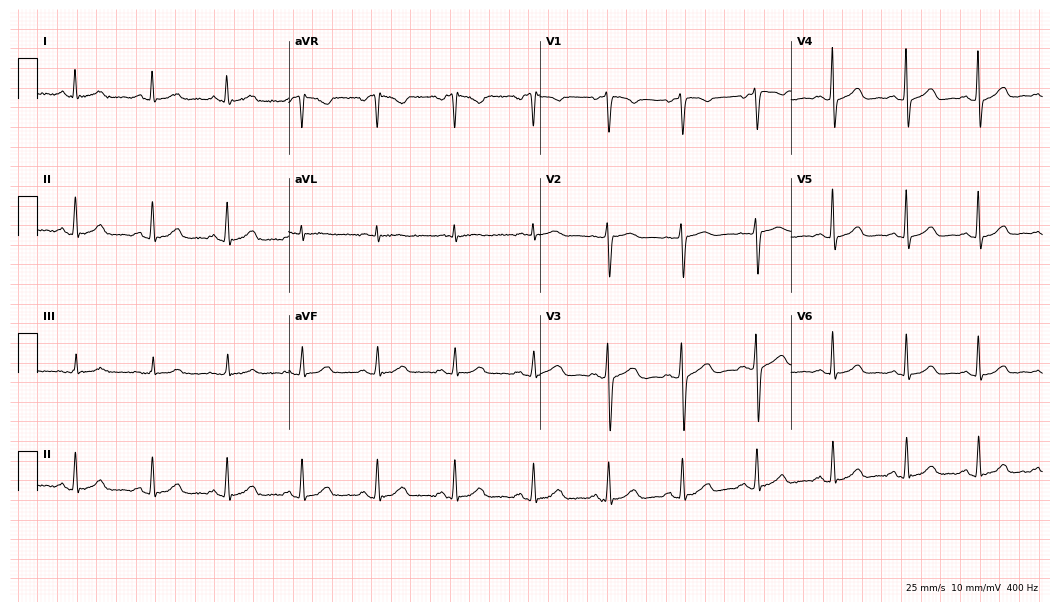
Resting 12-lead electrocardiogram. Patient: a female, 66 years old. Read as a normal ECG.